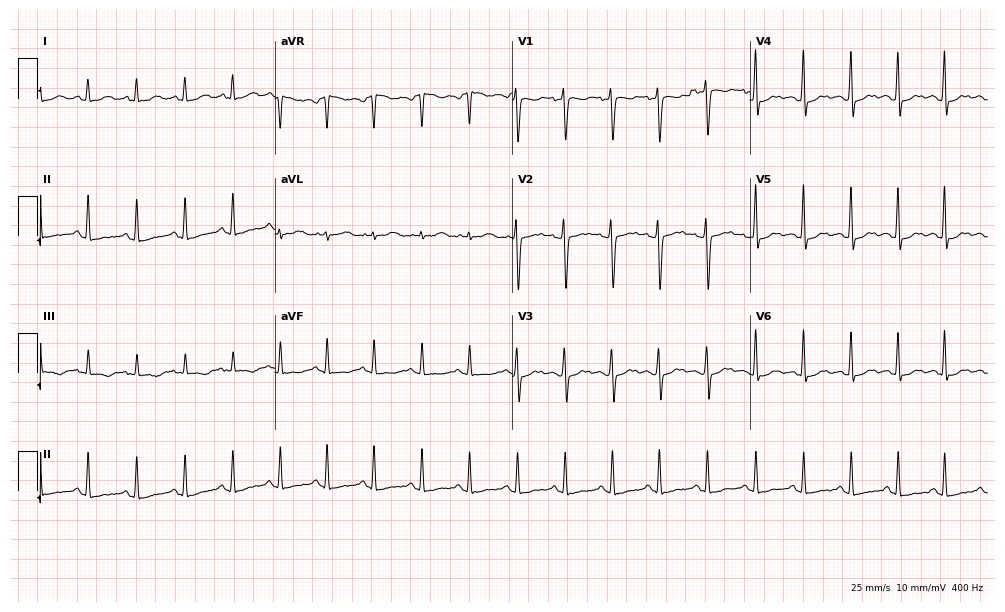
12-lead ECG (9.7-second recording at 400 Hz) from a female, 34 years old. Findings include sinus tachycardia (a sinus rate of 100 beats per minute or more).